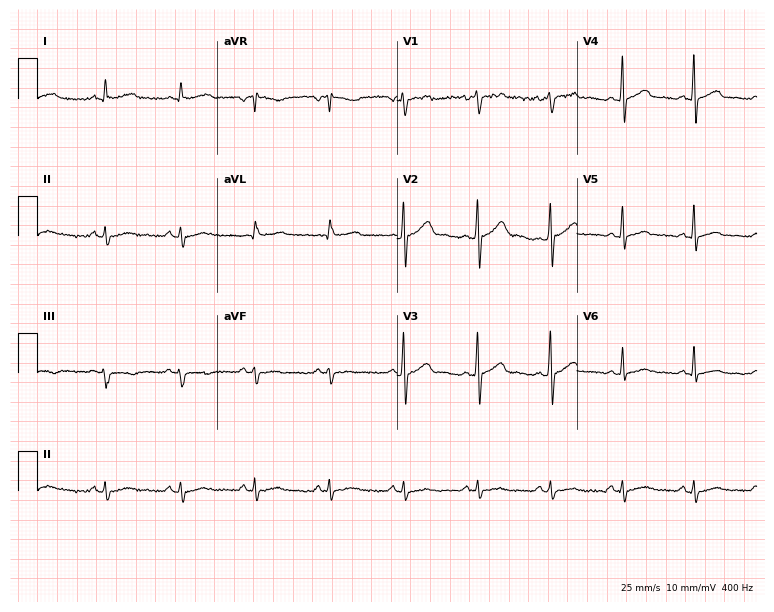
Standard 12-lead ECG recorded from a male, 47 years old (7.3-second recording at 400 Hz). None of these six findings is recorded: first-degree AV block, right bundle branch block, left bundle branch block, sinus bradycardia, atrial fibrillation, sinus tachycardia. Findings outside these six are not listed.